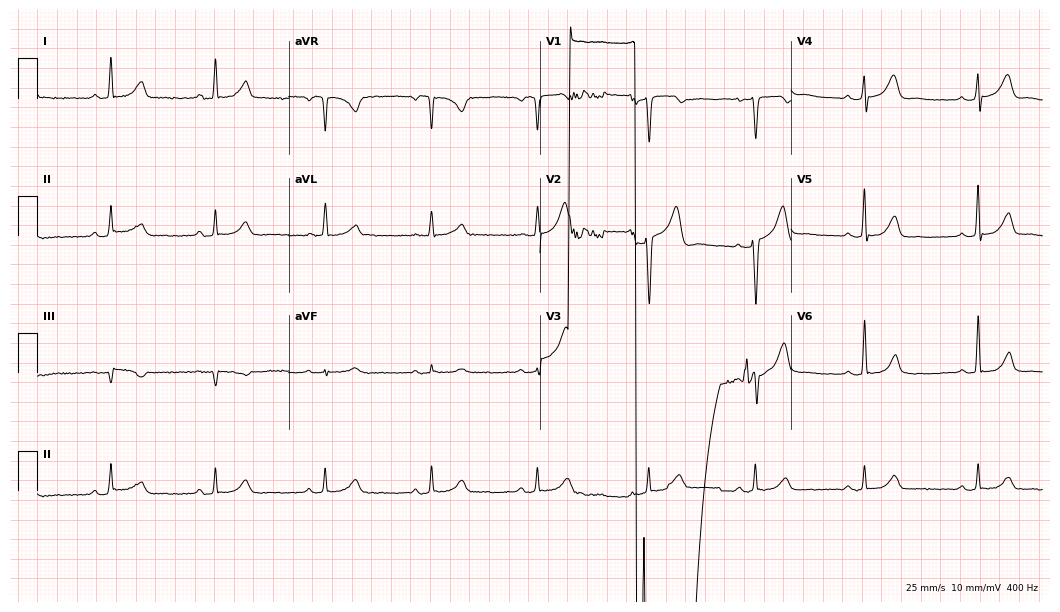
12-lead ECG from a man, 60 years old. Labelled as a normal ECG.